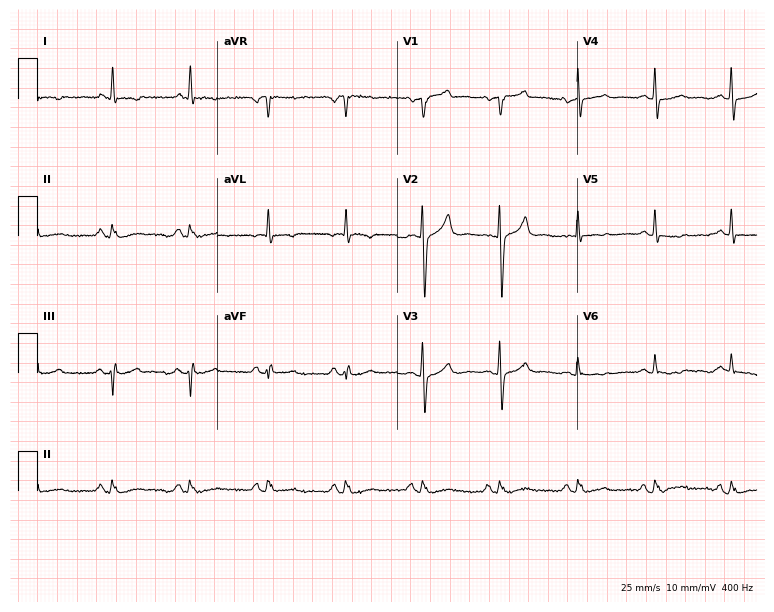
ECG (7.3-second recording at 400 Hz) — a man, 70 years old. Screened for six findings — first-degree AV block, right bundle branch block (RBBB), left bundle branch block (LBBB), sinus bradycardia, atrial fibrillation (AF), sinus tachycardia — none is recorded.